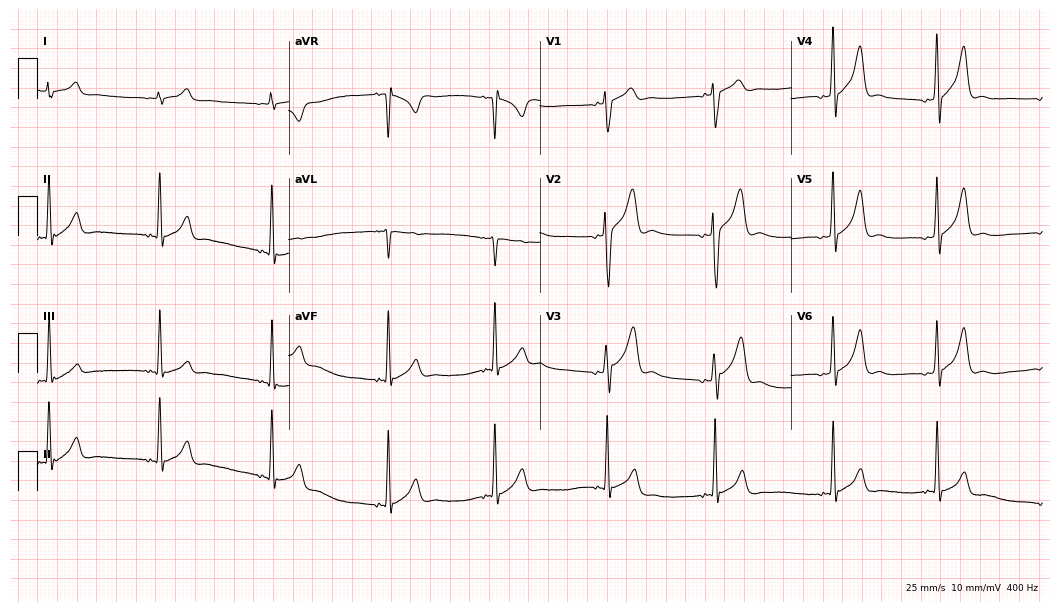
Resting 12-lead electrocardiogram (10.2-second recording at 400 Hz). Patient: a man, 21 years old. None of these six findings is recorded: first-degree AV block, right bundle branch block, left bundle branch block, sinus bradycardia, atrial fibrillation, sinus tachycardia.